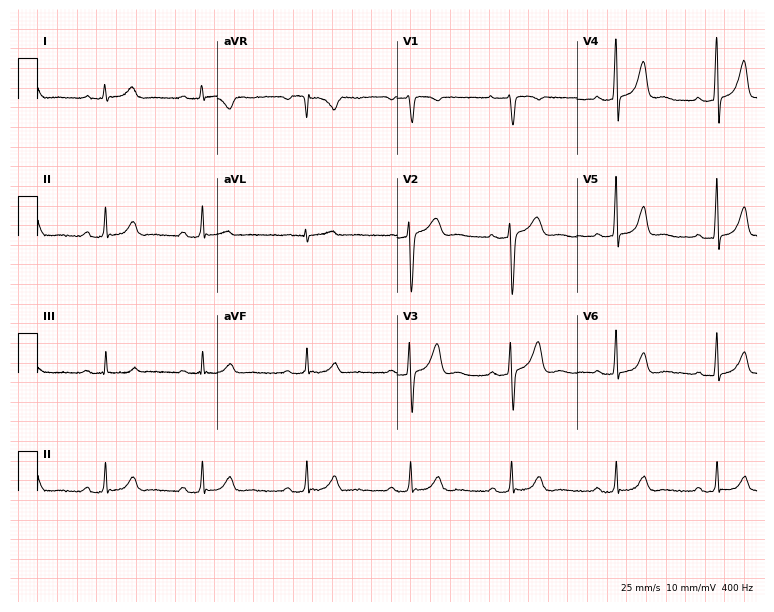
ECG (7.3-second recording at 400 Hz) — a 30-year-old female. Labelled as a normal ECG.